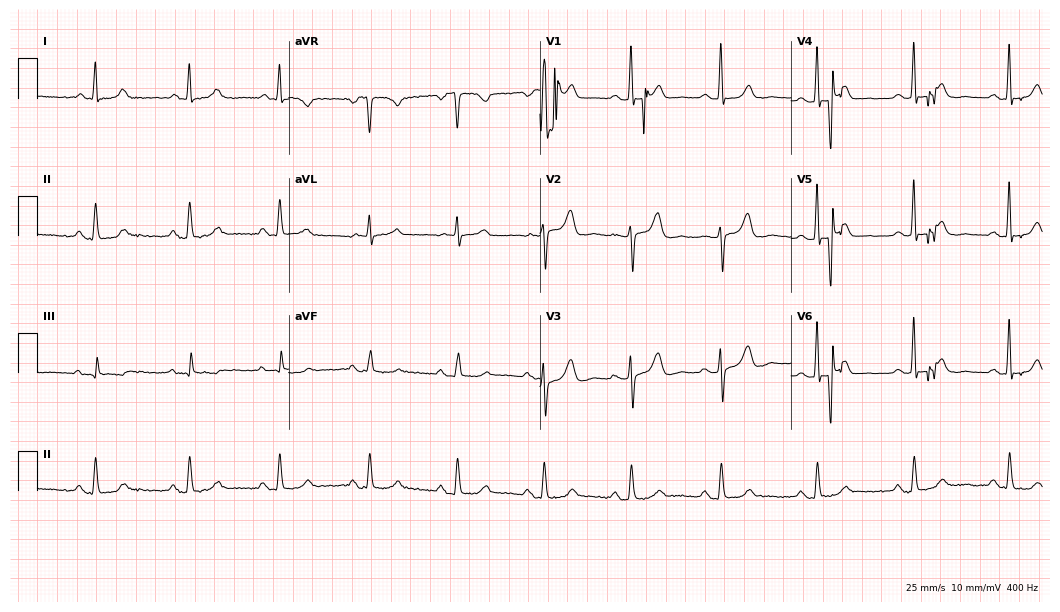
12-lead ECG from a 77-year-old female patient (10.2-second recording at 400 Hz). Recorded interpretation: within normal limits.